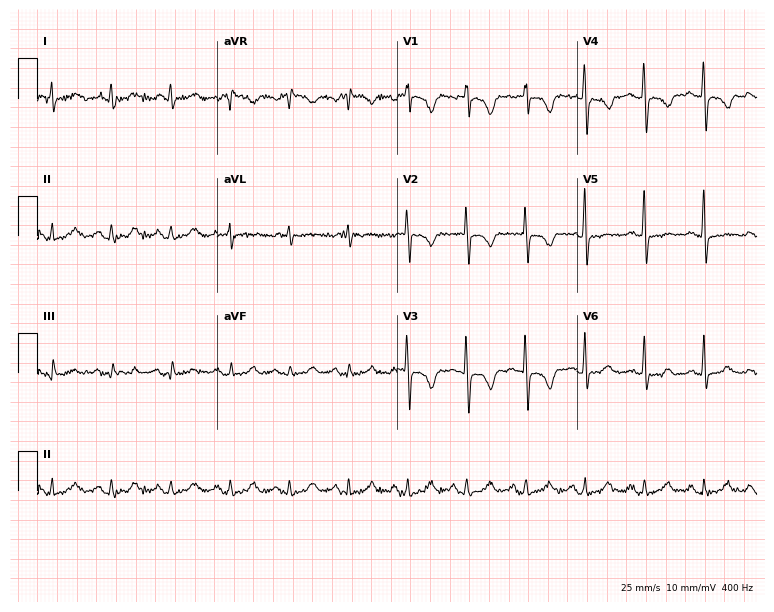
Standard 12-lead ECG recorded from a 62-year-old woman (7.3-second recording at 400 Hz). None of these six findings is recorded: first-degree AV block, right bundle branch block (RBBB), left bundle branch block (LBBB), sinus bradycardia, atrial fibrillation (AF), sinus tachycardia. Only these six findings were labelled.